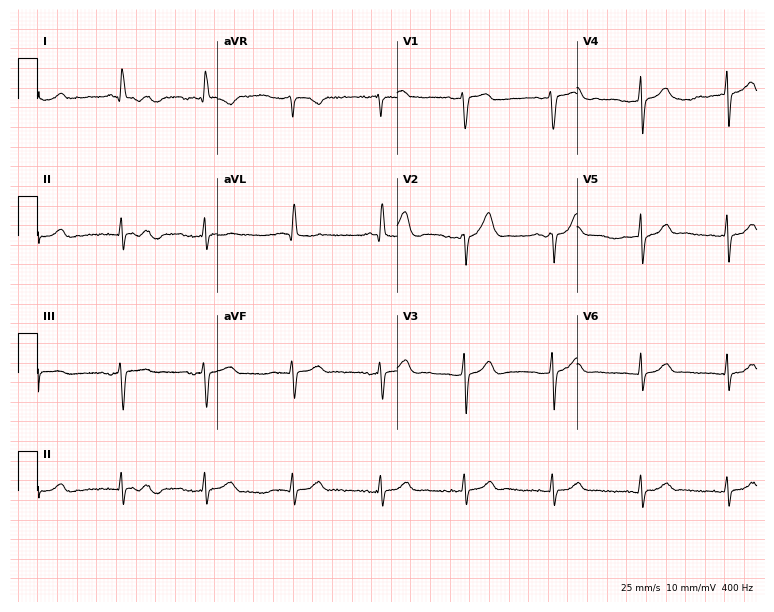
12-lead ECG from a female, 67 years old (7.3-second recording at 400 Hz). Recorded interpretation: within normal limits.